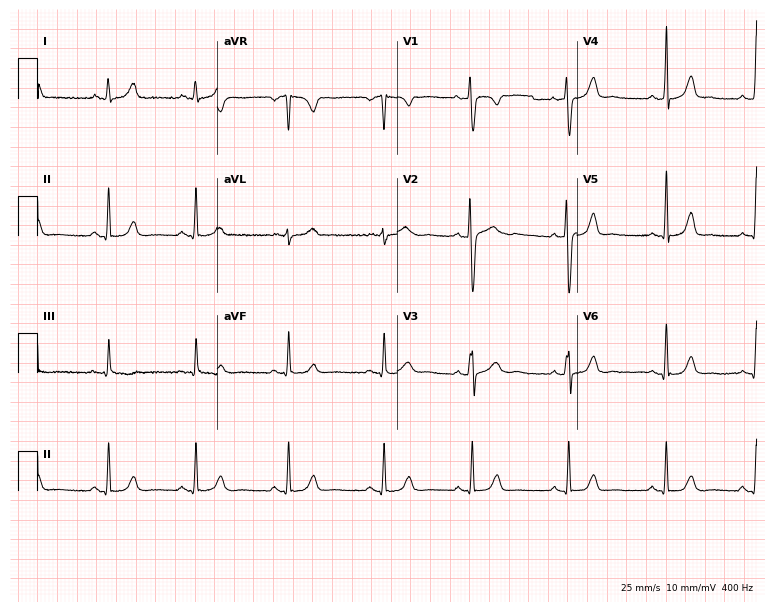
Electrocardiogram (7.3-second recording at 400 Hz), a 25-year-old woman. Overall reading on record: normal ECG.